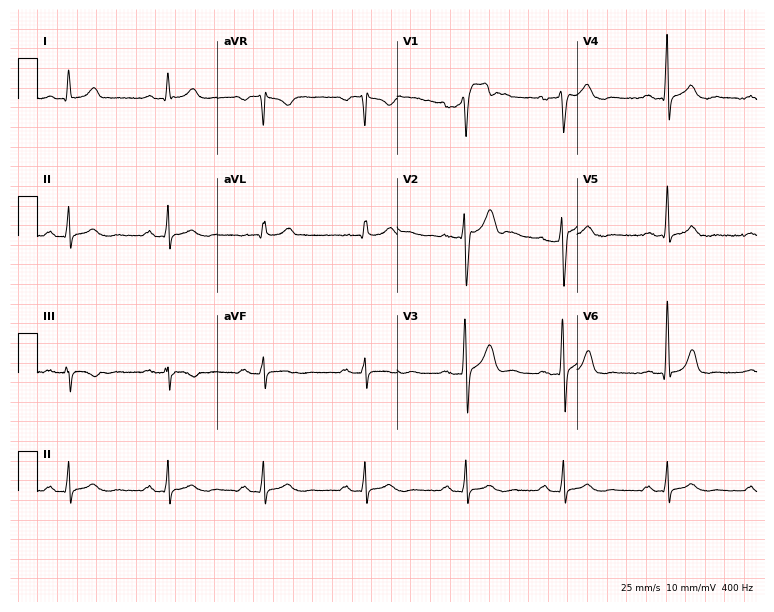
ECG — a male patient, 59 years old. Labelled as a normal ECG.